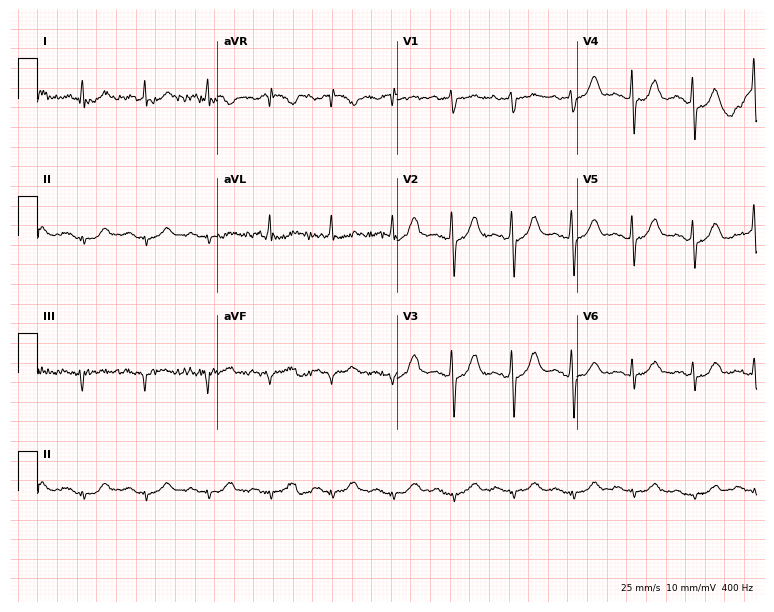
12-lead ECG from a male, 84 years old. Screened for six findings — first-degree AV block, right bundle branch block, left bundle branch block, sinus bradycardia, atrial fibrillation, sinus tachycardia — none is recorded. Only these six findings were labelled.